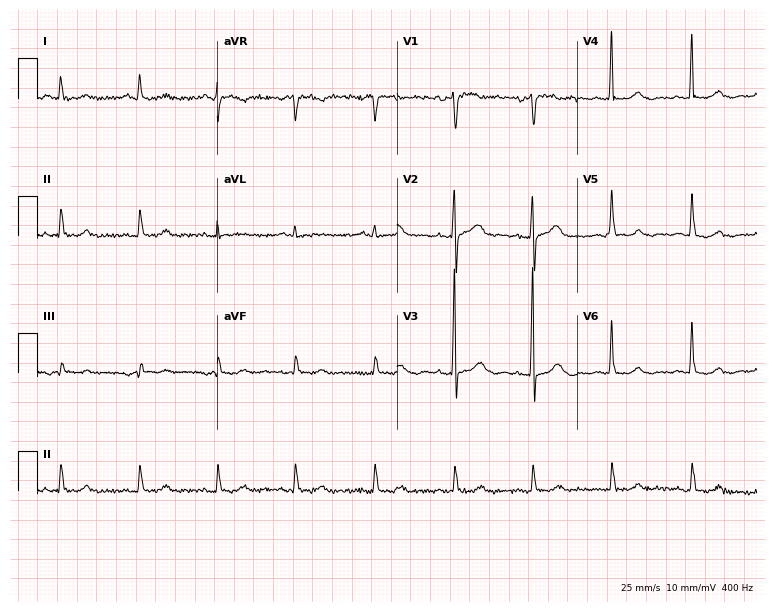
ECG (7.3-second recording at 400 Hz) — a female, 70 years old. Screened for six findings — first-degree AV block, right bundle branch block (RBBB), left bundle branch block (LBBB), sinus bradycardia, atrial fibrillation (AF), sinus tachycardia — none is recorded.